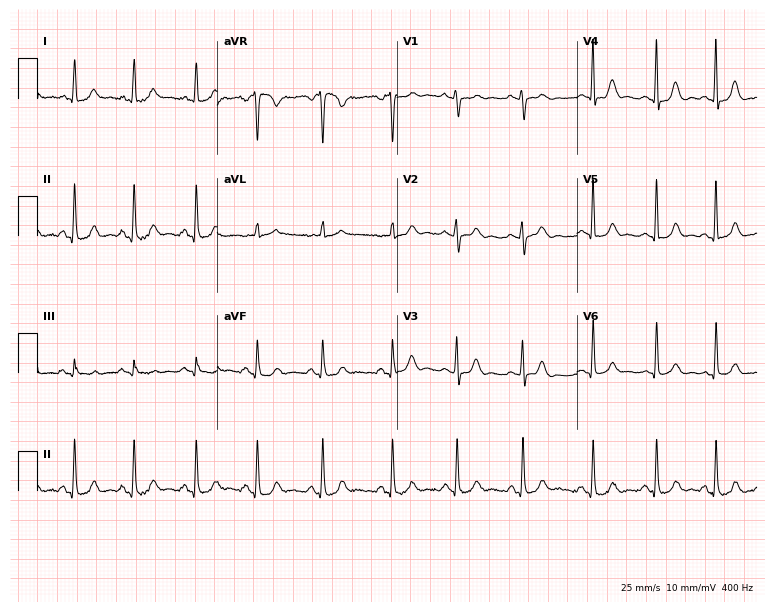
Resting 12-lead electrocardiogram. Patient: a 19-year-old female. None of these six findings is recorded: first-degree AV block, right bundle branch block, left bundle branch block, sinus bradycardia, atrial fibrillation, sinus tachycardia. Other findings, if any, are not listed.